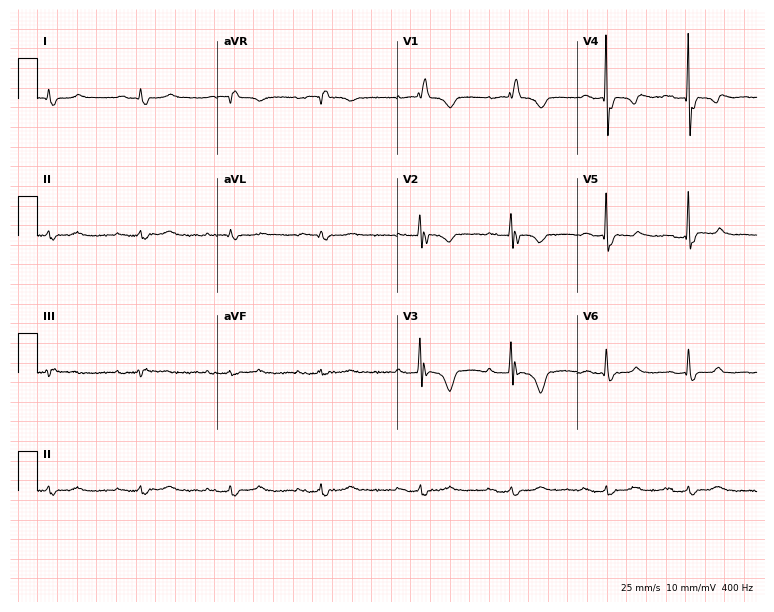
12-lead ECG from a woman, 53 years old. Shows right bundle branch block.